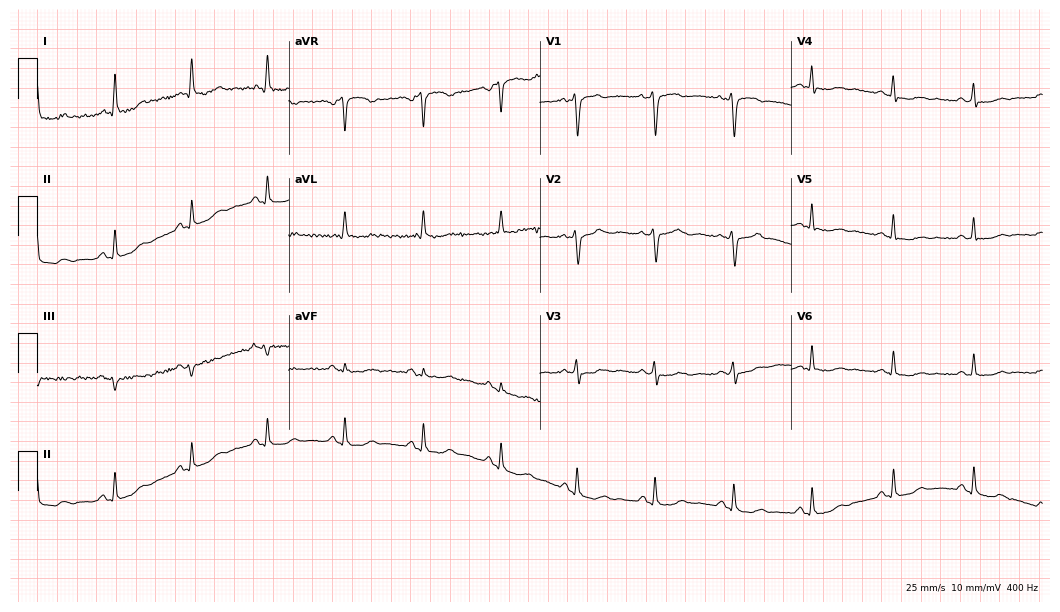
12-lead ECG from a 55-year-old woman. Screened for six findings — first-degree AV block, right bundle branch block, left bundle branch block, sinus bradycardia, atrial fibrillation, sinus tachycardia — none is recorded.